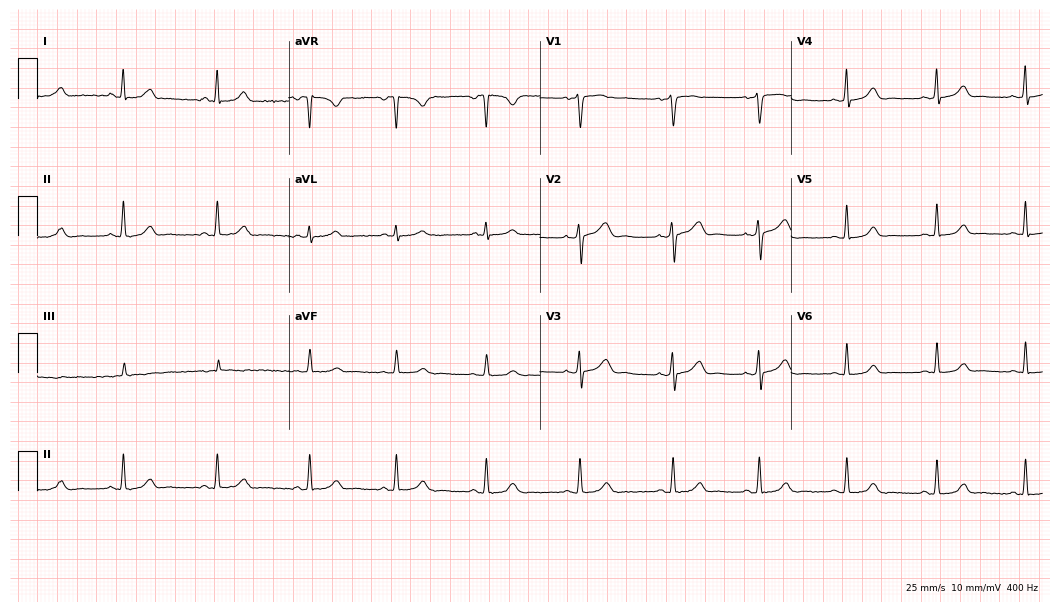
12-lead ECG from a female patient, 27 years old (10.2-second recording at 400 Hz). Recorded interpretation: within normal limits.